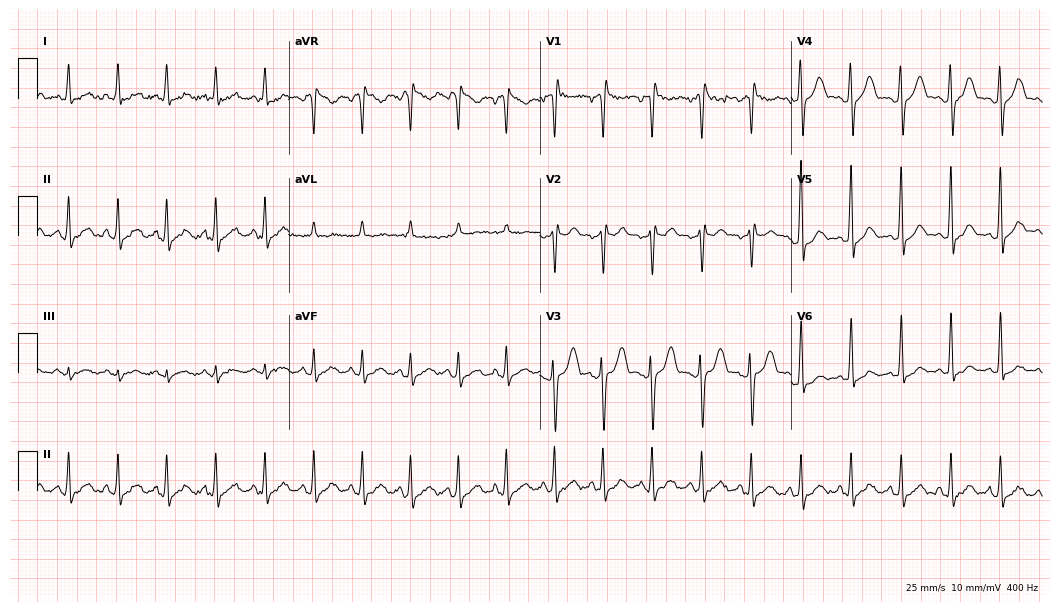
Electrocardiogram (10.2-second recording at 400 Hz), a male, 21 years old. Interpretation includes sinus tachycardia (a sinus rate of 100 beats per minute or more).